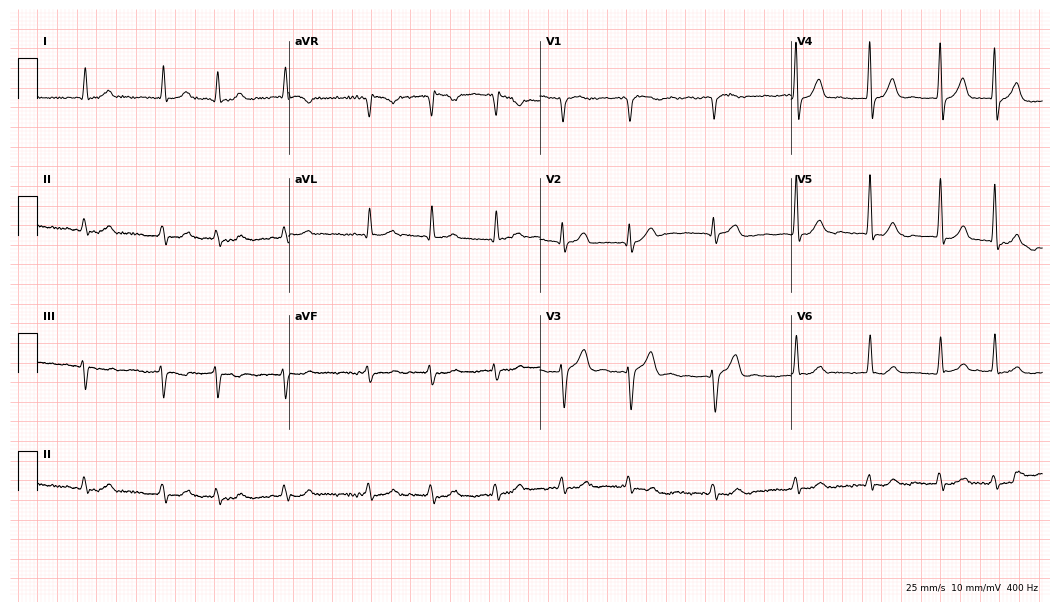
Resting 12-lead electrocardiogram (10.2-second recording at 400 Hz). Patient: a male, 62 years old. The tracing shows atrial fibrillation.